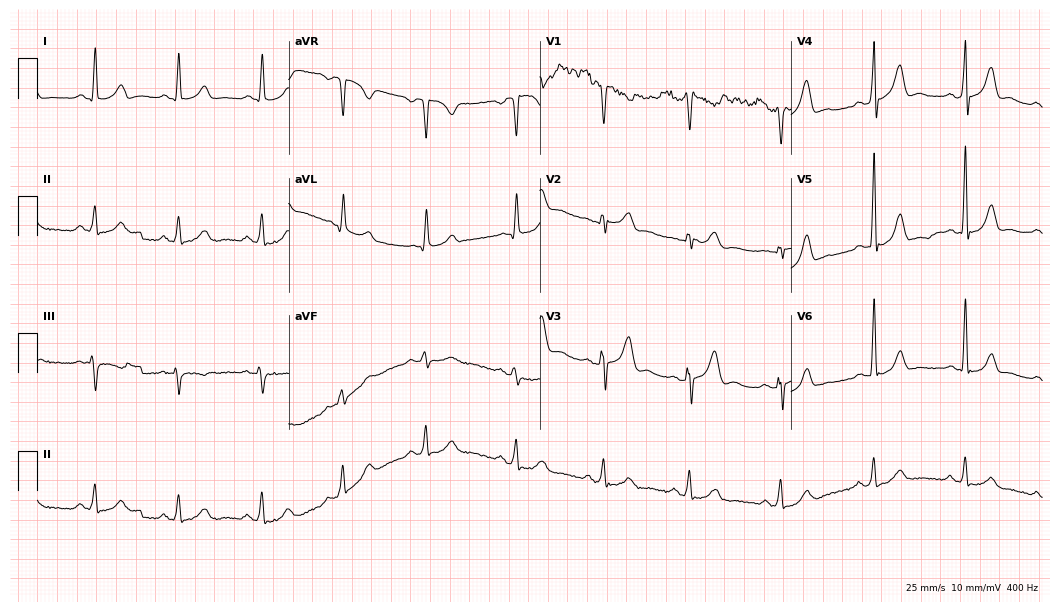
12-lead ECG from a 42-year-old male patient (10.2-second recording at 400 Hz). Recorded interpretation: within normal limits.